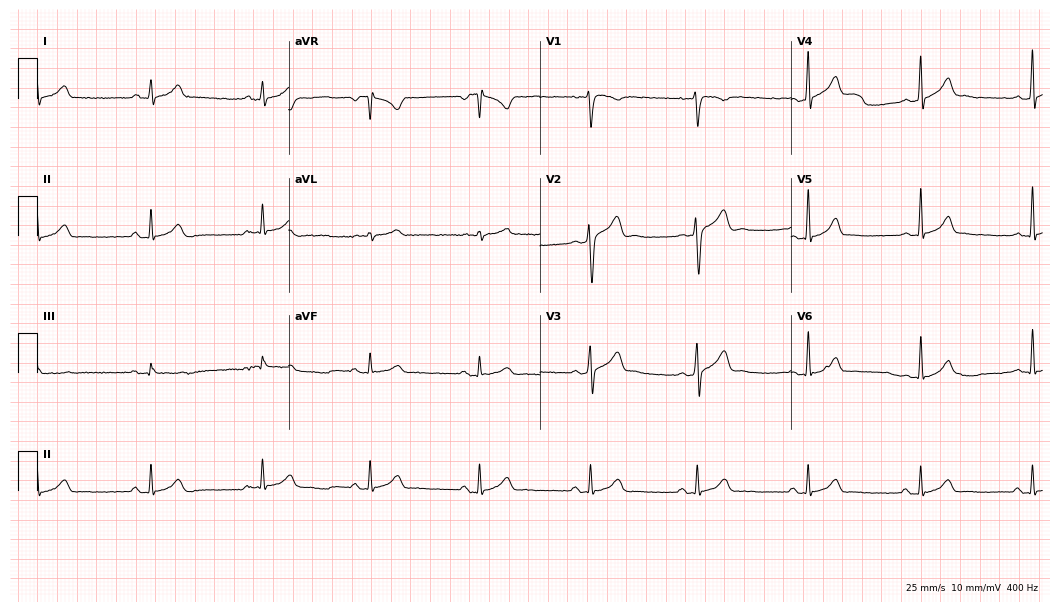
12-lead ECG from a male patient, 84 years old (10.2-second recording at 400 Hz). Recorded interpretation: within normal limits.